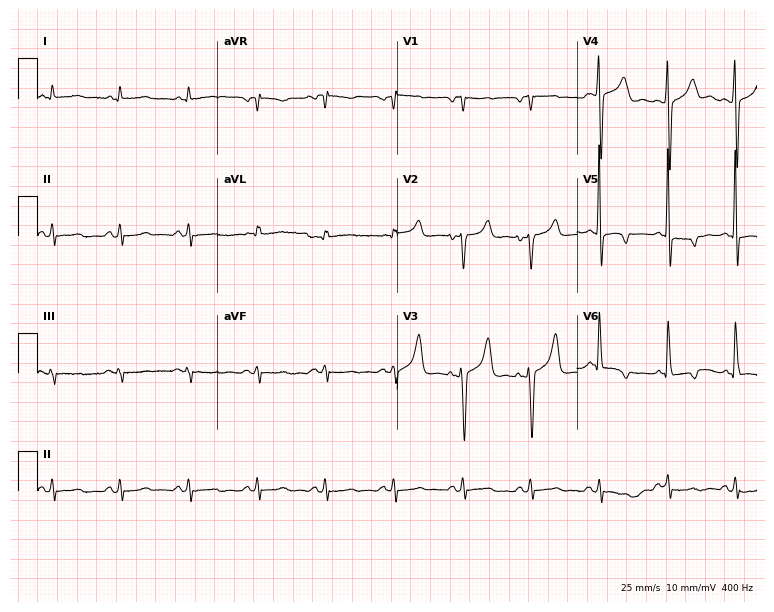
Standard 12-lead ECG recorded from a 59-year-old male (7.3-second recording at 400 Hz). None of these six findings is recorded: first-degree AV block, right bundle branch block, left bundle branch block, sinus bradycardia, atrial fibrillation, sinus tachycardia. Findings outside these six are not listed.